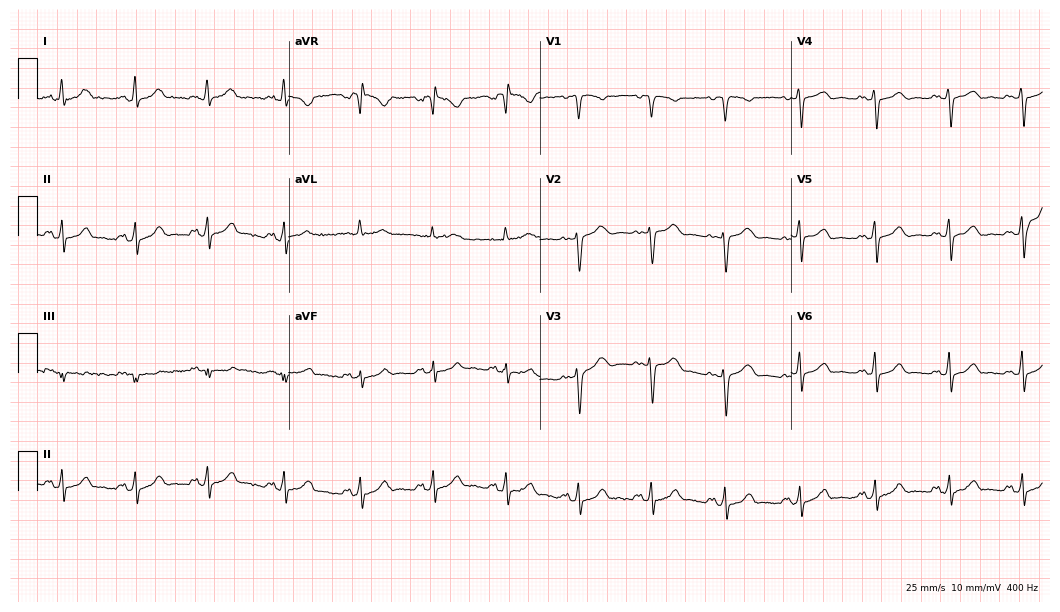
Electrocardiogram (10.2-second recording at 400 Hz), a 36-year-old female. Of the six screened findings (first-degree AV block, right bundle branch block (RBBB), left bundle branch block (LBBB), sinus bradycardia, atrial fibrillation (AF), sinus tachycardia), none is recorded.